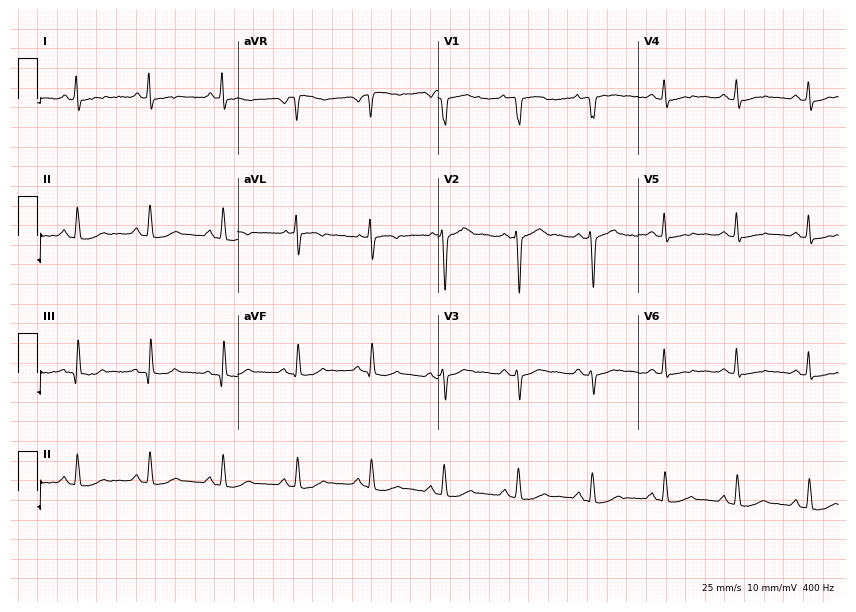
12-lead ECG from a male, 62 years old. No first-degree AV block, right bundle branch block (RBBB), left bundle branch block (LBBB), sinus bradycardia, atrial fibrillation (AF) or sinus tachycardia recorded for this tracing. Other findings, if any, are not listed.